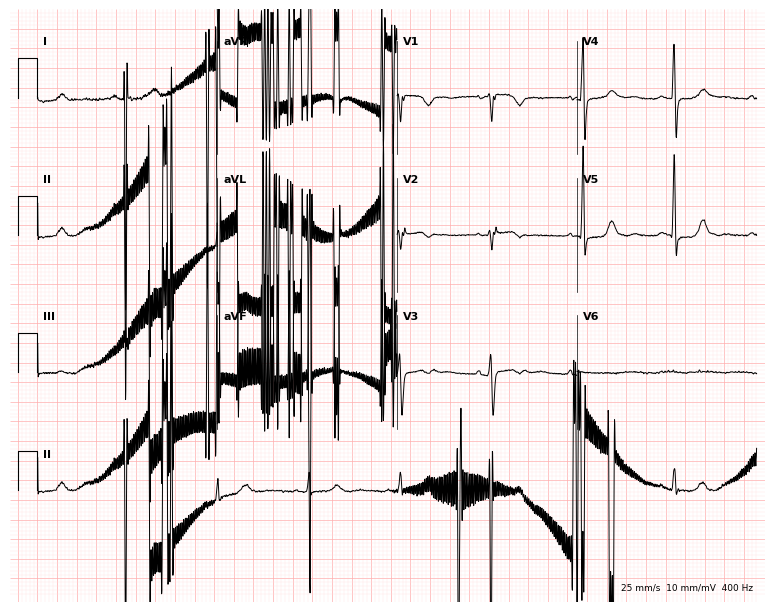
12-lead ECG from a 62-year-old woman. No first-degree AV block, right bundle branch block, left bundle branch block, sinus bradycardia, atrial fibrillation or sinus tachycardia recorded for this tracing. Only these six findings were labelled.